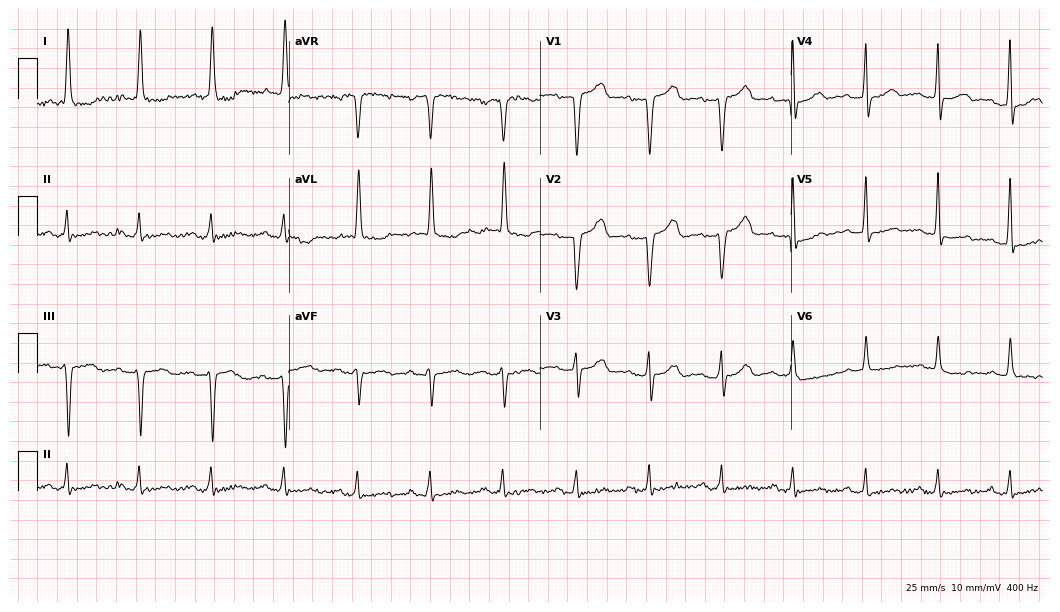
ECG (10.2-second recording at 400 Hz) — a 74-year-old man. Screened for six findings — first-degree AV block, right bundle branch block, left bundle branch block, sinus bradycardia, atrial fibrillation, sinus tachycardia — none is recorded. Only these six findings were labelled.